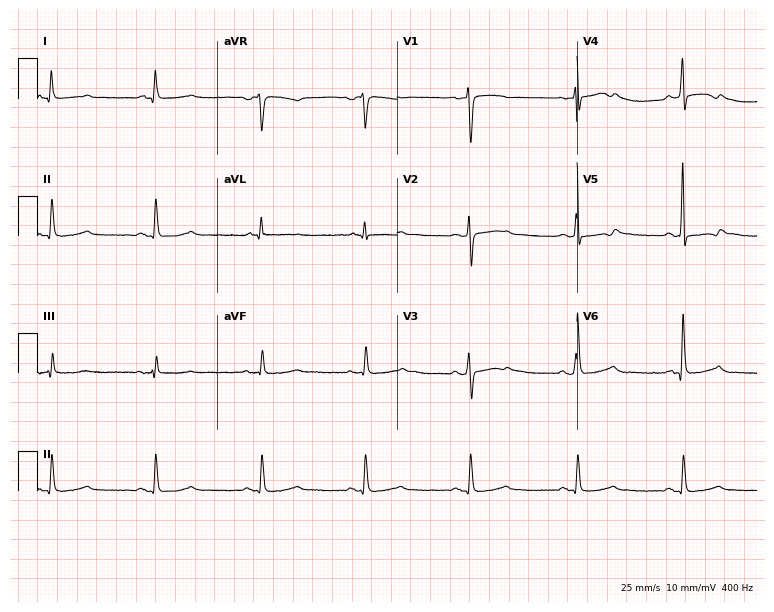
Electrocardiogram, a male patient, 55 years old. Of the six screened findings (first-degree AV block, right bundle branch block, left bundle branch block, sinus bradycardia, atrial fibrillation, sinus tachycardia), none is recorded.